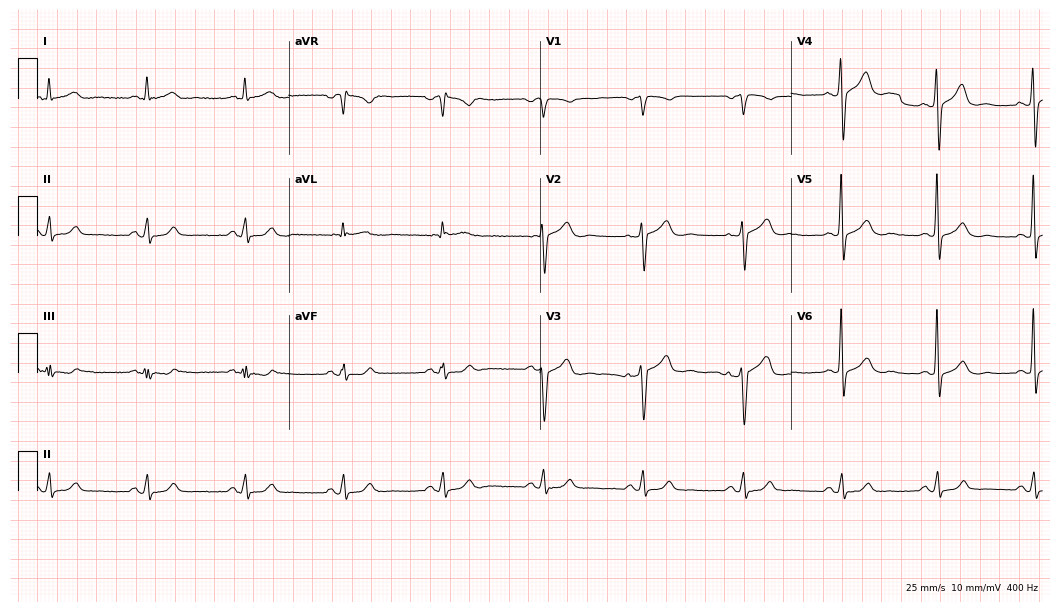
ECG — a 55-year-old male. Screened for six findings — first-degree AV block, right bundle branch block (RBBB), left bundle branch block (LBBB), sinus bradycardia, atrial fibrillation (AF), sinus tachycardia — none is recorded.